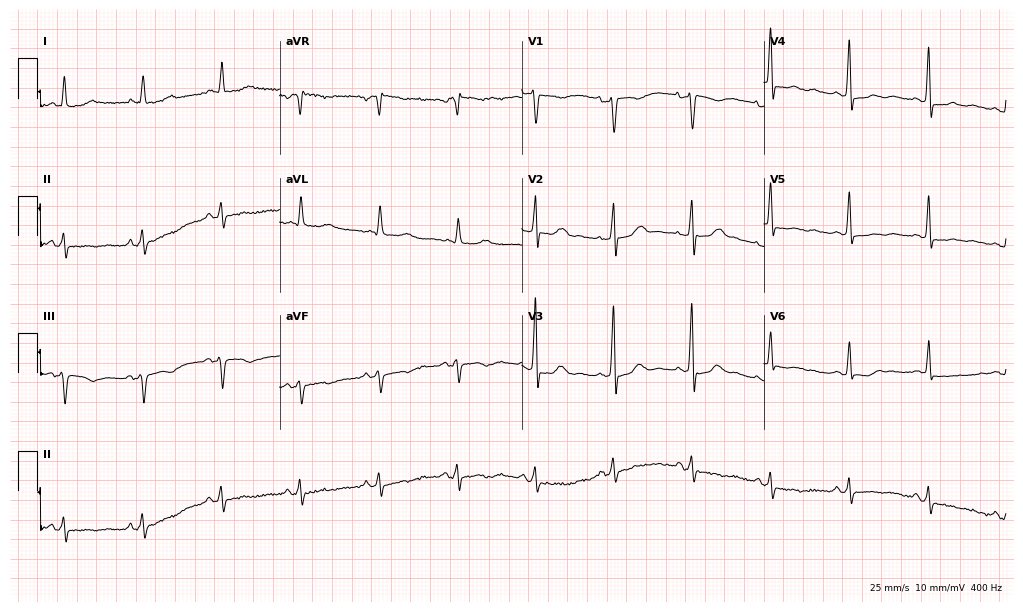
12-lead ECG (9.9-second recording at 400 Hz) from a 61-year-old female. Screened for six findings — first-degree AV block, right bundle branch block (RBBB), left bundle branch block (LBBB), sinus bradycardia, atrial fibrillation (AF), sinus tachycardia — none is recorded.